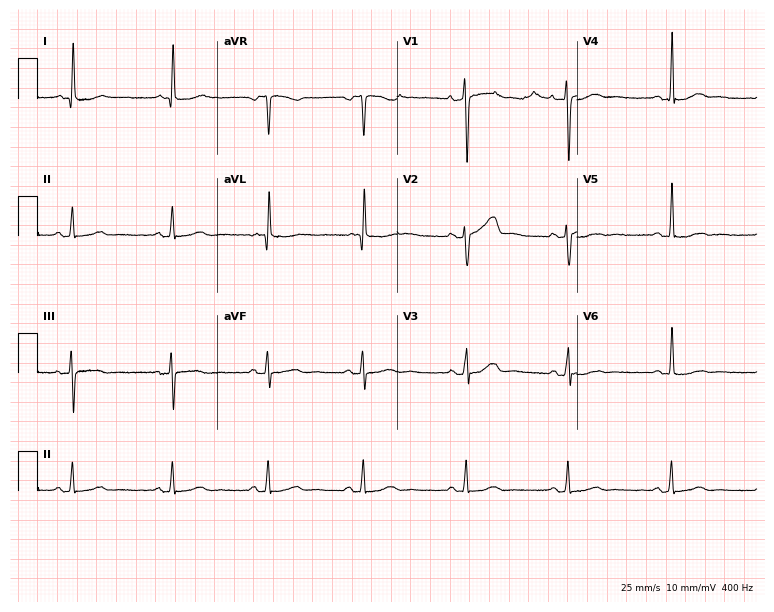
12-lead ECG from a 56-year-old female. Recorded interpretation: within normal limits.